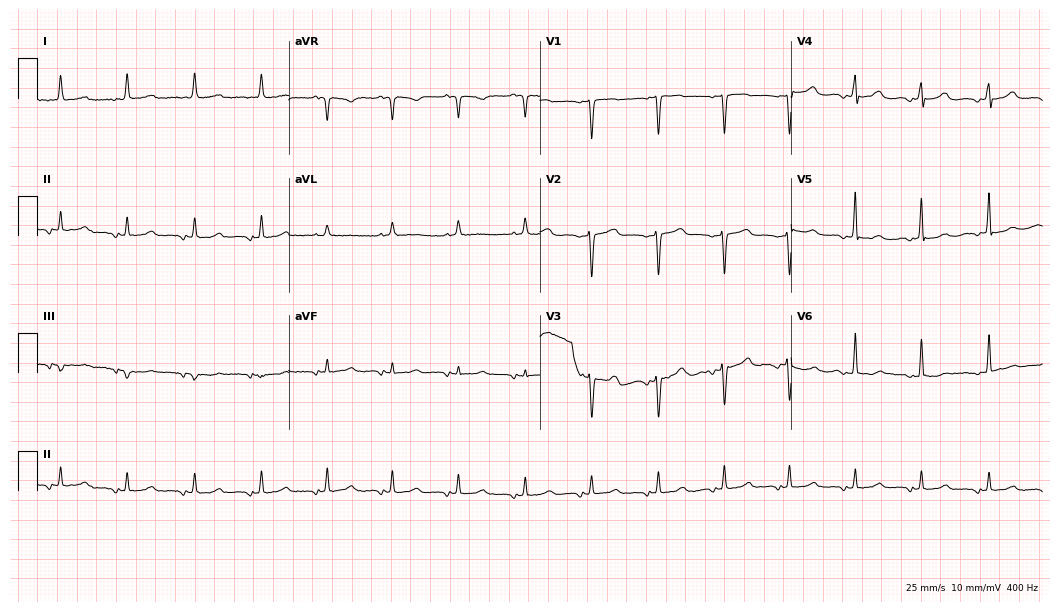
Resting 12-lead electrocardiogram. Patient: a female, 87 years old. None of these six findings is recorded: first-degree AV block, right bundle branch block, left bundle branch block, sinus bradycardia, atrial fibrillation, sinus tachycardia. Findings outside these six are not listed.